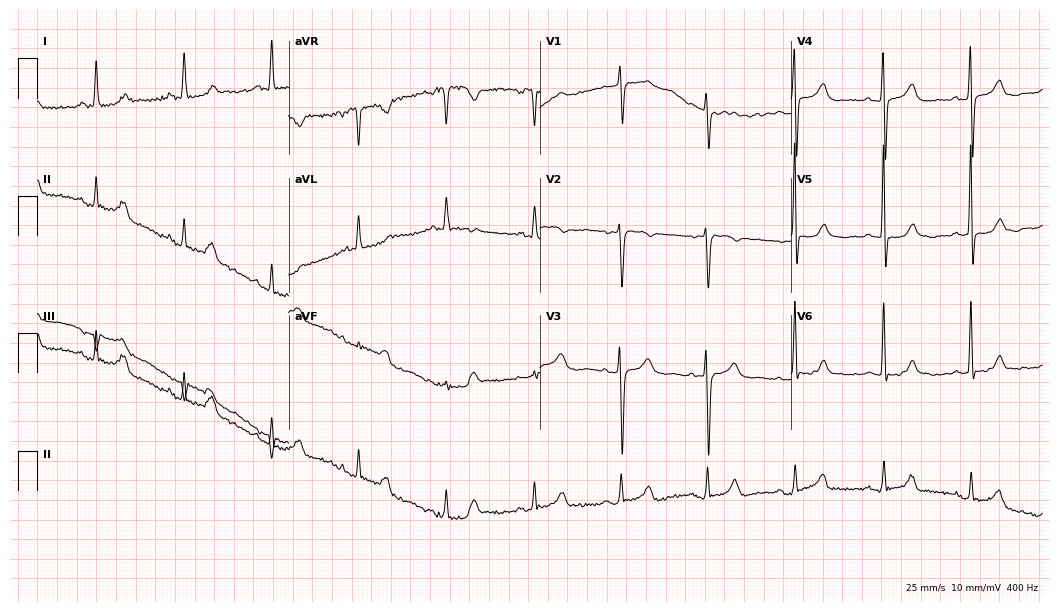
Resting 12-lead electrocardiogram. Patient: a woman, 63 years old. Read as a normal ECG.